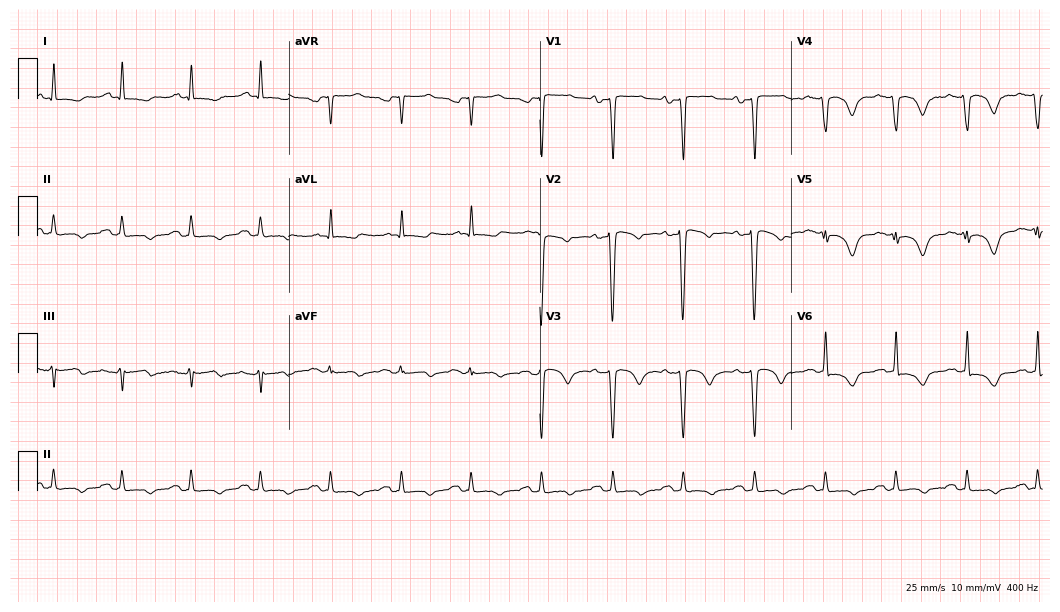
Electrocardiogram (10.2-second recording at 400 Hz), a male patient, 60 years old. Of the six screened findings (first-degree AV block, right bundle branch block (RBBB), left bundle branch block (LBBB), sinus bradycardia, atrial fibrillation (AF), sinus tachycardia), none is recorded. Other findings, if any, are not listed.